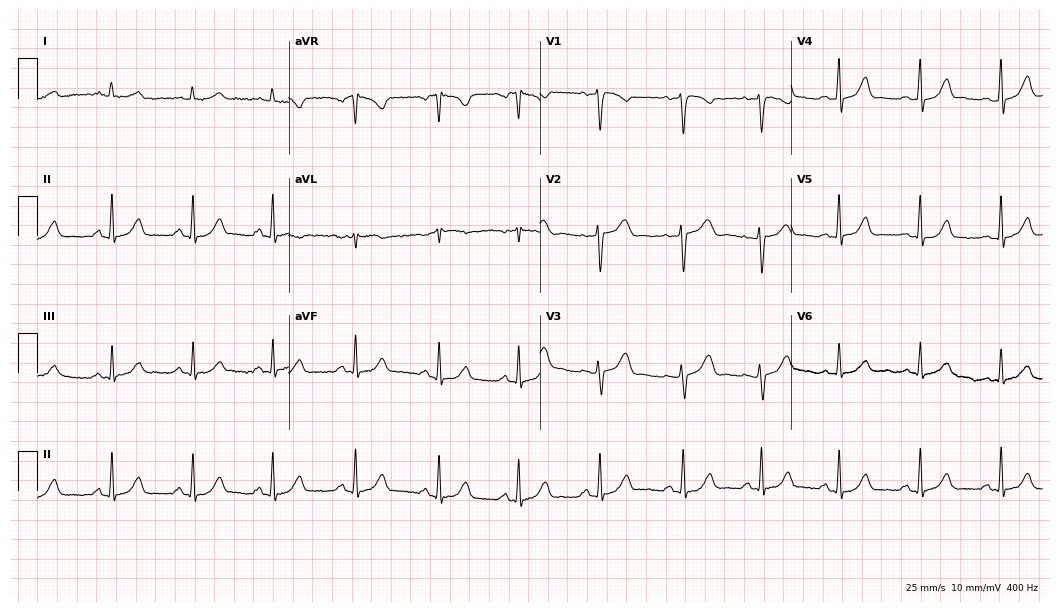
Resting 12-lead electrocardiogram (10.2-second recording at 400 Hz). Patient: a woman, 35 years old. Read as a normal ECG.